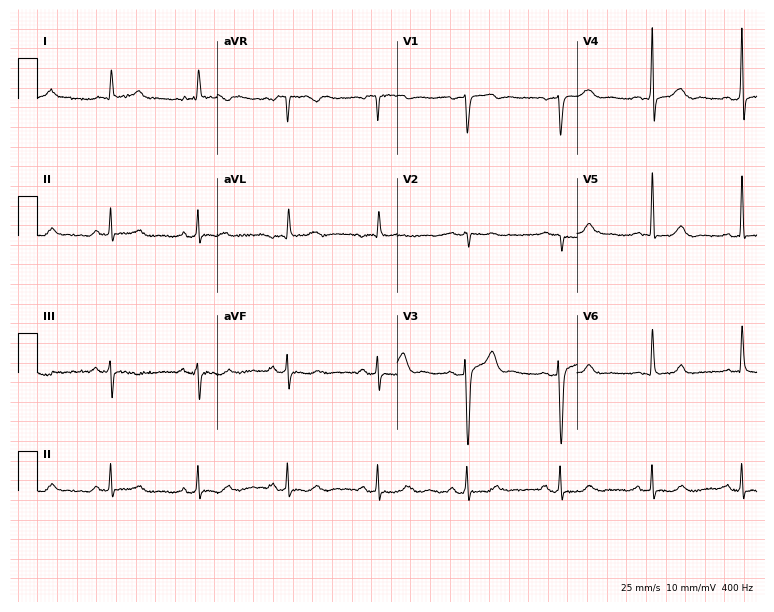
Resting 12-lead electrocardiogram. Patient: a male, 57 years old. Read as a normal ECG.